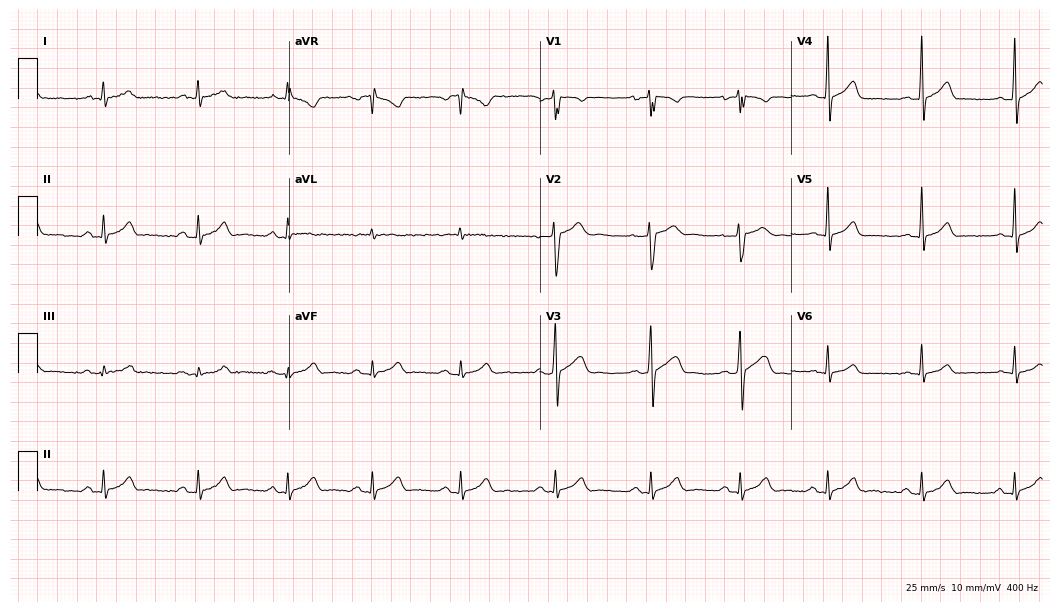
Electrocardiogram, a man, 21 years old. Of the six screened findings (first-degree AV block, right bundle branch block, left bundle branch block, sinus bradycardia, atrial fibrillation, sinus tachycardia), none is recorded. Other findings, if any, are not listed.